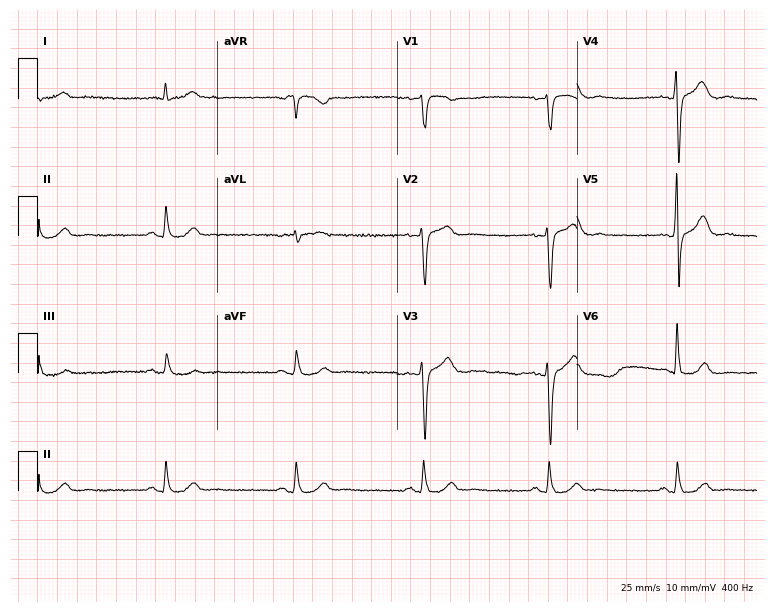
12-lead ECG from a 61-year-old male (7.3-second recording at 400 Hz). Shows sinus bradycardia (a sinus rate of 50 beats per minute or less).